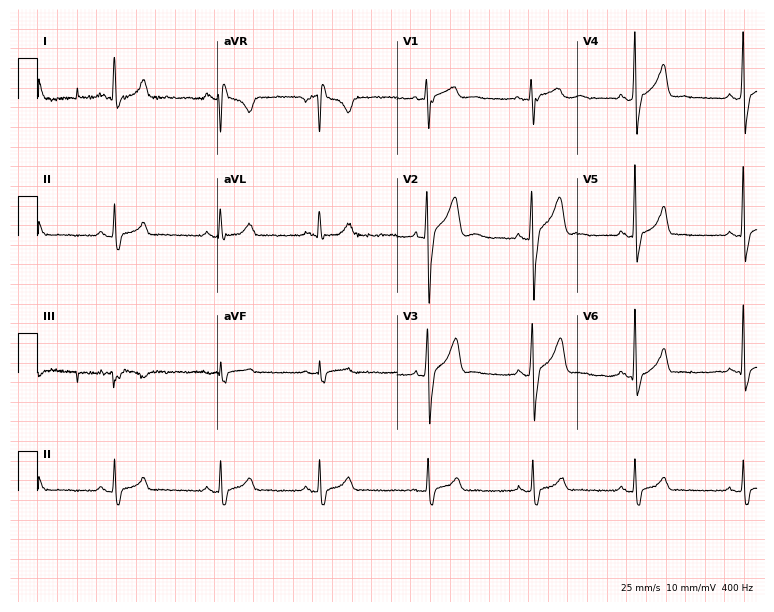
Resting 12-lead electrocardiogram. Patient: a man, 22 years old. Read as a normal ECG.